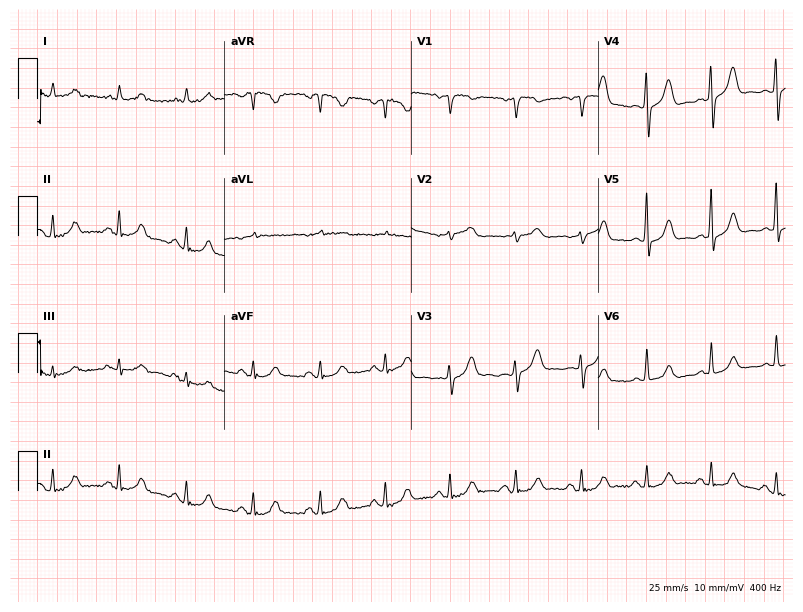
12-lead ECG from a female patient, 74 years old (7.6-second recording at 400 Hz). No first-degree AV block, right bundle branch block, left bundle branch block, sinus bradycardia, atrial fibrillation or sinus tachycardia recorded for this tracing. Other findings, if any, are not listed.